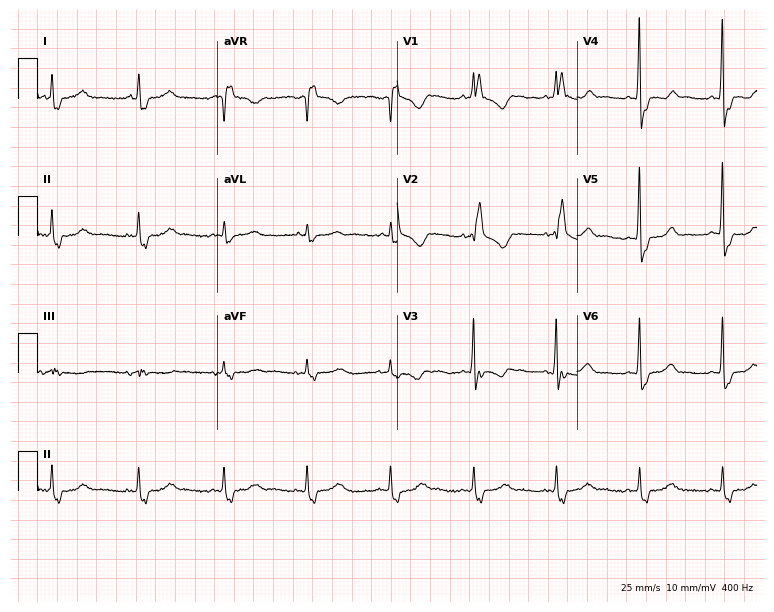
Standard 12-lead ECG recorded from a female patient, 57 years old. The tracing shows right bundle branch block.